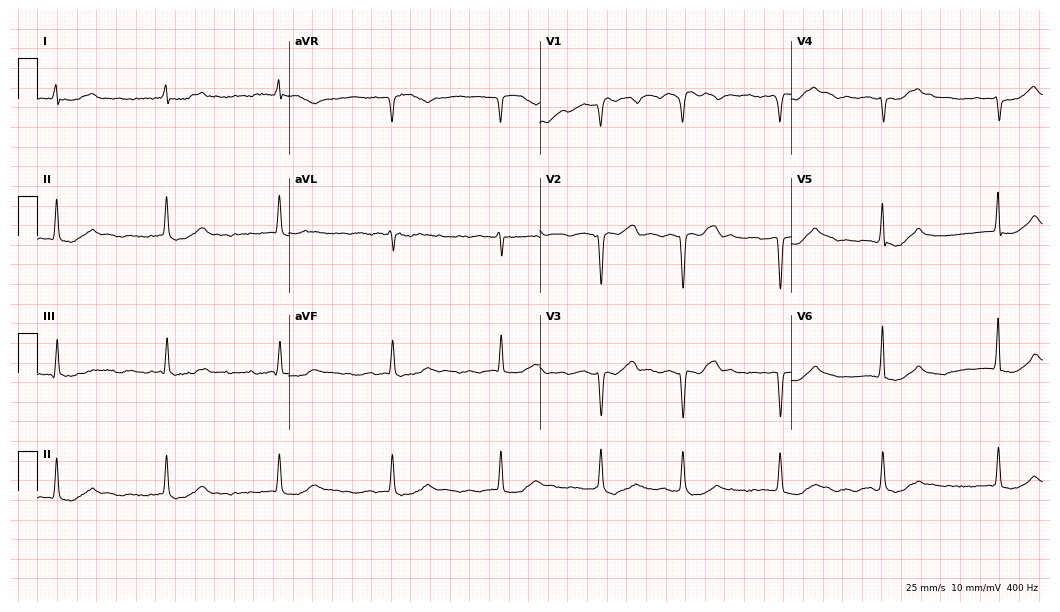
Standard 12-lead ECG recorded from a 74-year-old woman. The tracing shows atrial fibrillation.